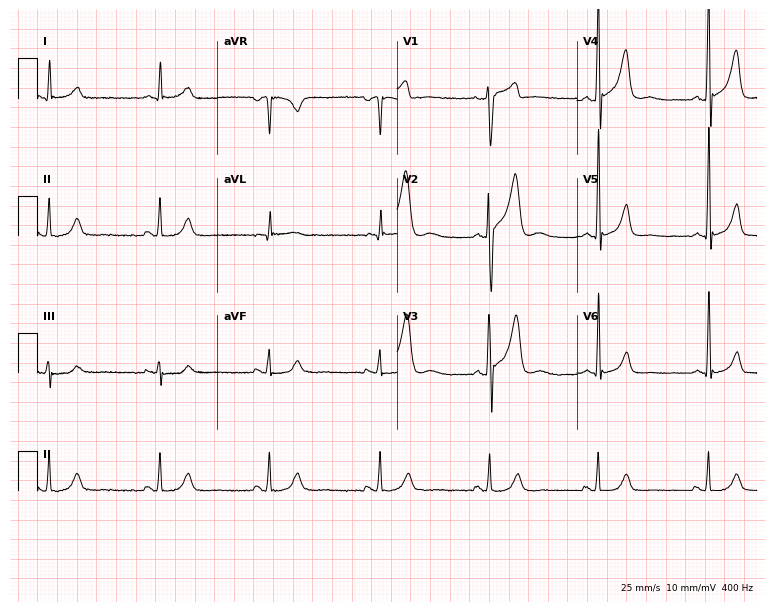
Resting 12-lead electrocardiogram. Patient: a male, 46 years old. None of these six findings is recorded: first-degree AV block, right bundle branch block (RBBB), left bundle branch block (LBBB), sinus bradycardia, atrial fibrillation (AF), sinus tachycardia.